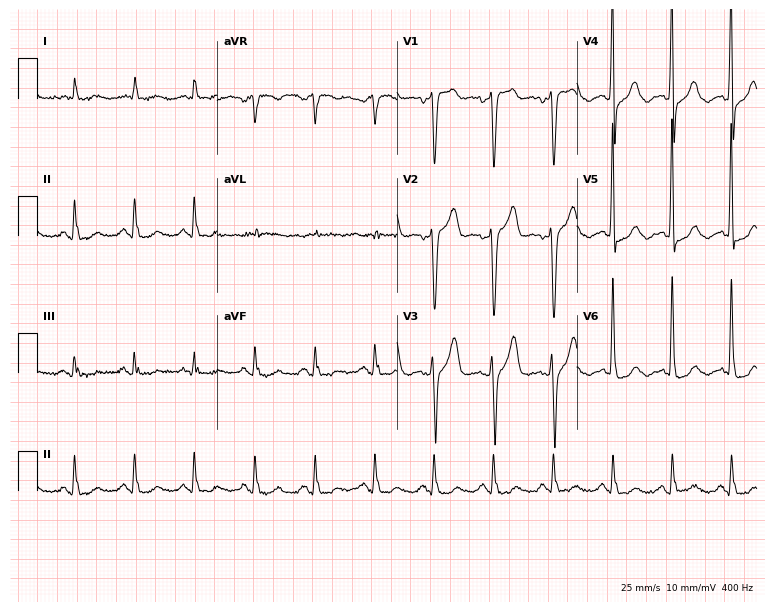
12-lead ECG from an 85-year-old man (7.3-second recording at 400 Hz). No first-degree AV block, right bundle branch block, left bundle branch block, sinus bradycardia, atrial fibrillation or sinus tachycardia recorded for this tracing.